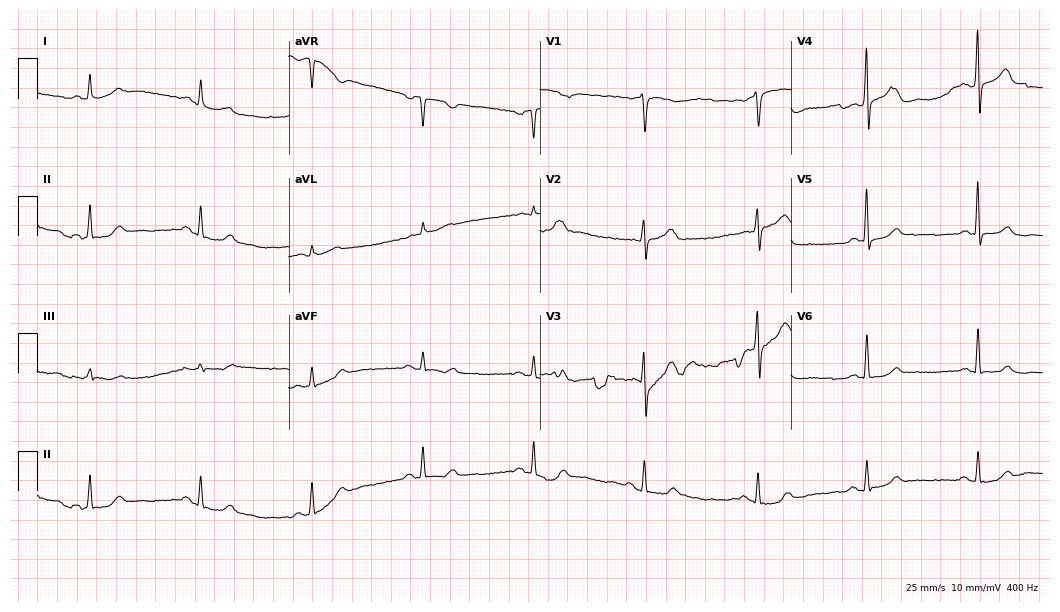
Electrocardiogram (10.2-second recording at 400 Hz), a female patient, 74 years old. Overall reading on record: normal ECG.